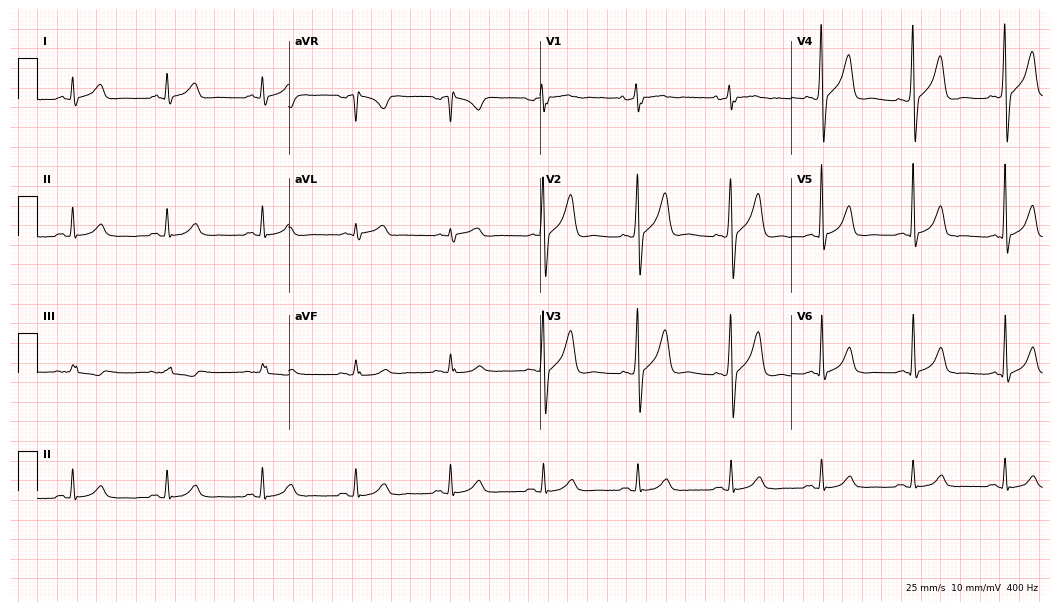
Resting 12-lead electrocardiogram (10.2-second recording at 400 Hz). Patient: a 75-year-old man. Read as a normal ECG.